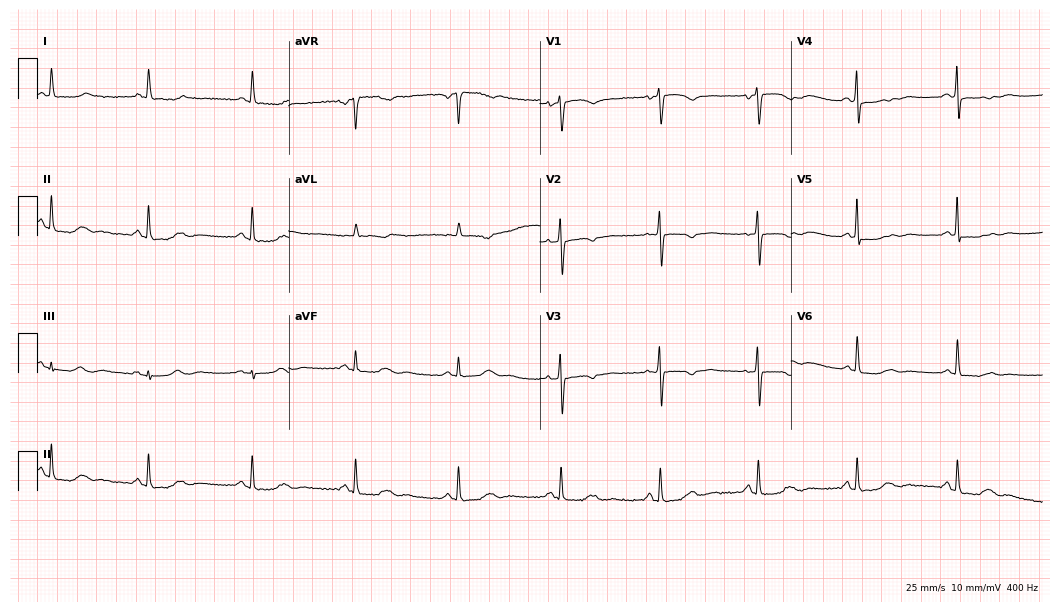
12-lead ECG from an 80-year-old female (10.2-second recording at 400 Hz). No first-degree AV block, right bundle branch block, left bundle branch block, sinus bradycardia, atrial fibrillation or sinus tachycardia recorded for this tracing.